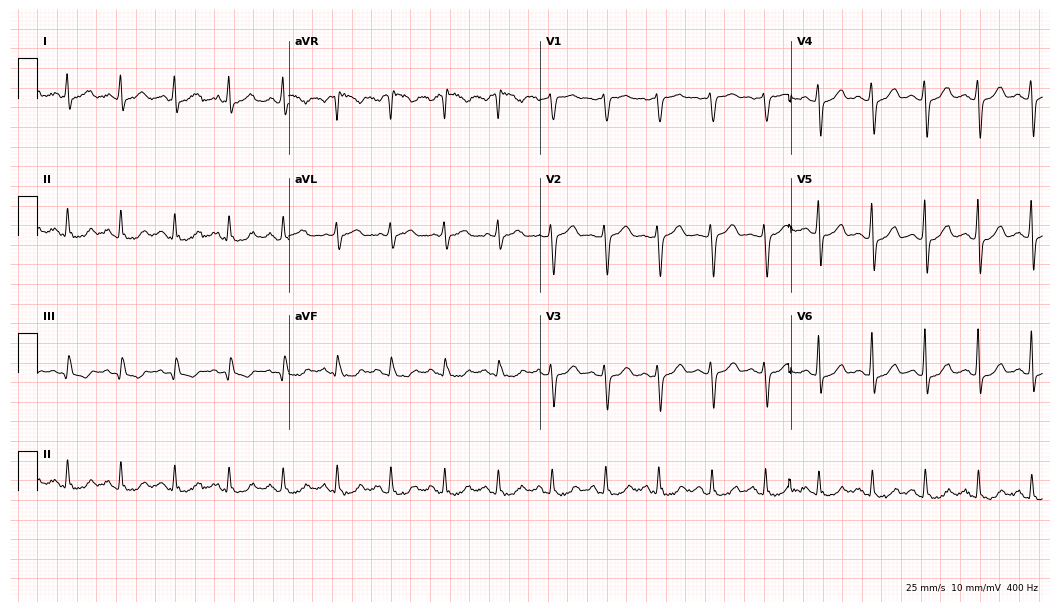
Resting 12-lead electrocardiogram. Patient: a female, 63 years old. The tracing shows sinus tachycardia (a sinus rate of 100 beats per minute or more).